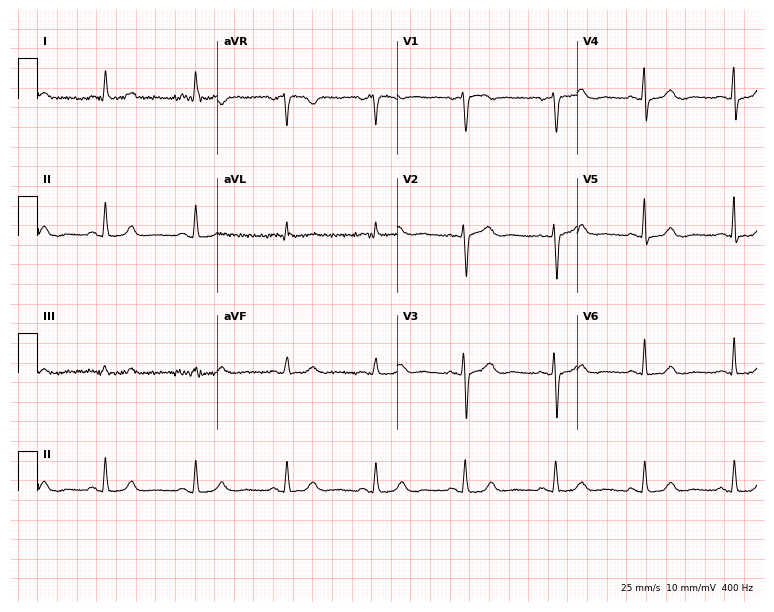
Resting 12-lead electrocardiogram (7.3-second recording at 400 Hz). Patient: a 55-year-old female. None of these six findings is recorded: first-degree AV block, right bundle branch block (RBBB), left bundle branch block (LBBB), sinus bradycardia, atrial fibrillation (AF), sinus tachycardia.